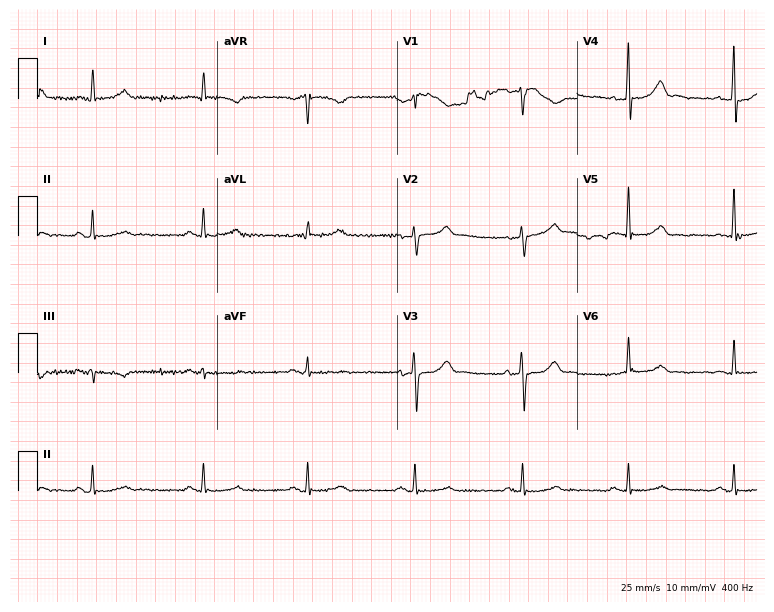
Standard 12-lead ECG recorded from a 64-year-old male patient (7.3-second recording at 400 Hz). Read as a normal ECG.